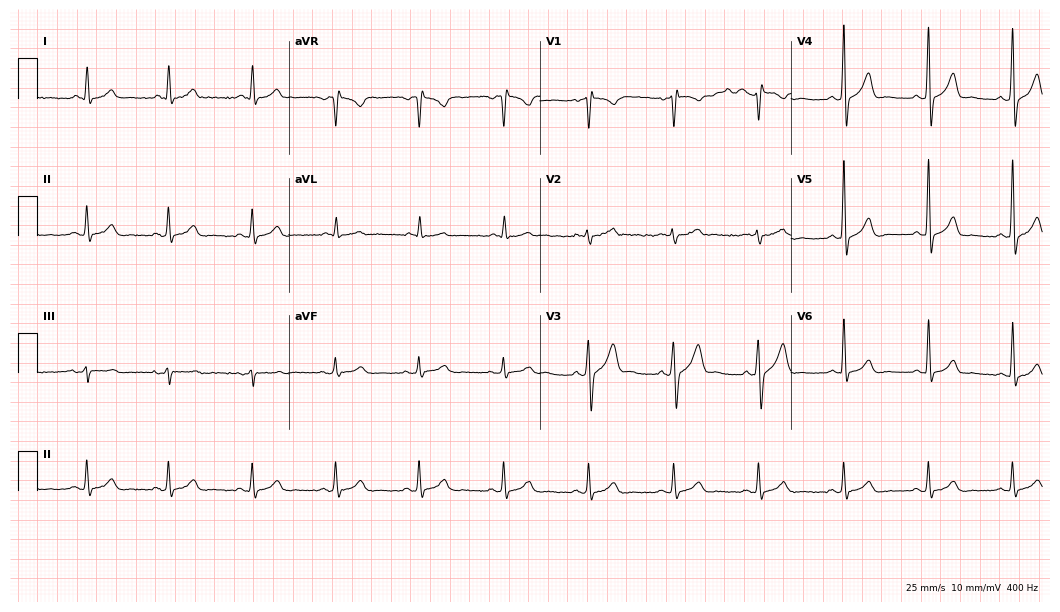
ECG — a 70-year-old male patient. Screened for six findings — first-degree AV block, right bundle branch block, left bundle branch block, sinus bradycardia, atrial fibrillation, sinus tachycardia — none is recorded. Findings outside these six are not listed.